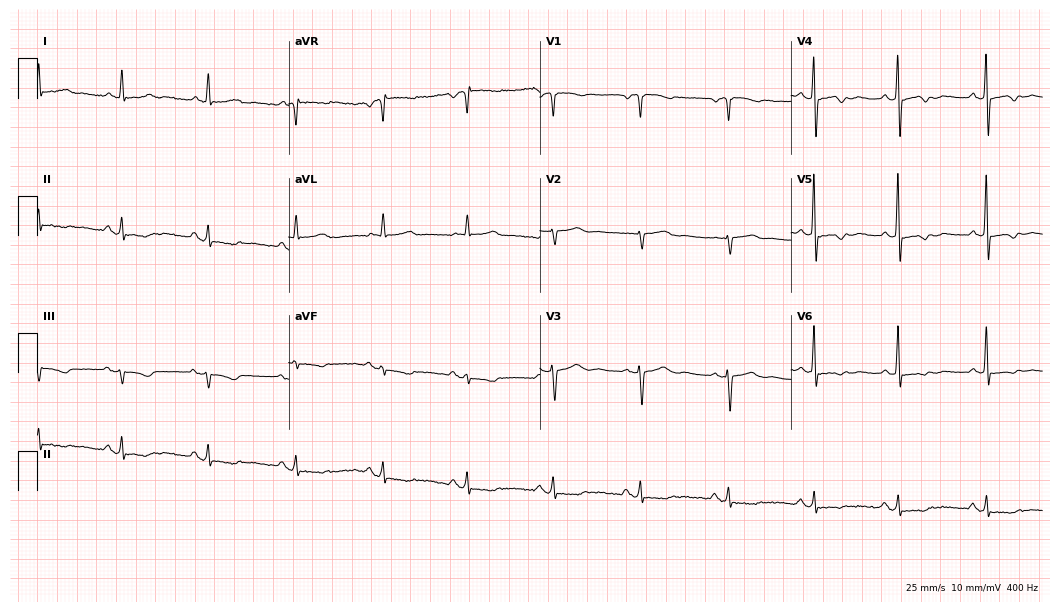
12-lead ECG (10.2-second recording at 400 Hz) from a female patient, 59 years old. Screened for six findings — first-degree AV block, right bundle branch block (RBBB), left bundle branch block (LBBB), sinus bradycardia, atrial fibrillation (AF), sinus tachycardia — none is recorded. Only these six findings were labelled.